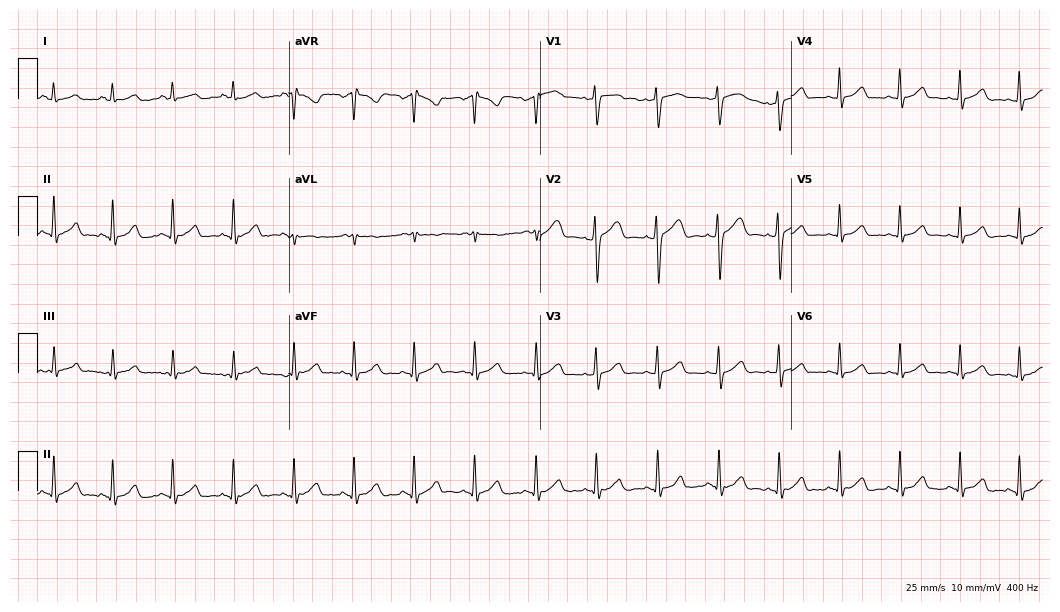
Electrocardiogram (10.2-second recording at 400 Hz), a 20-year-old female. Overall reading on record: normal ECG.